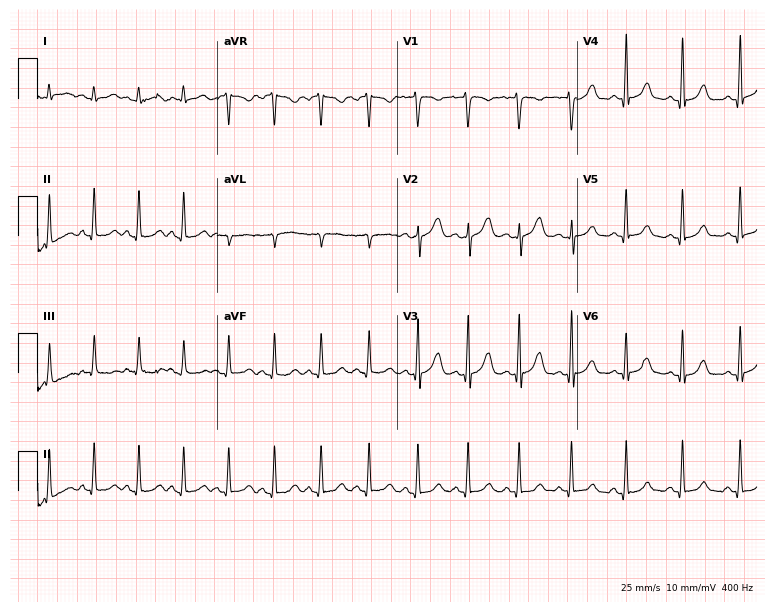
Resting 12-lead electrocardiogram. Patient: a 37-year-old female. The tracing shows sinus tachycardia (a sinus rate of 100 beats per minute or more).